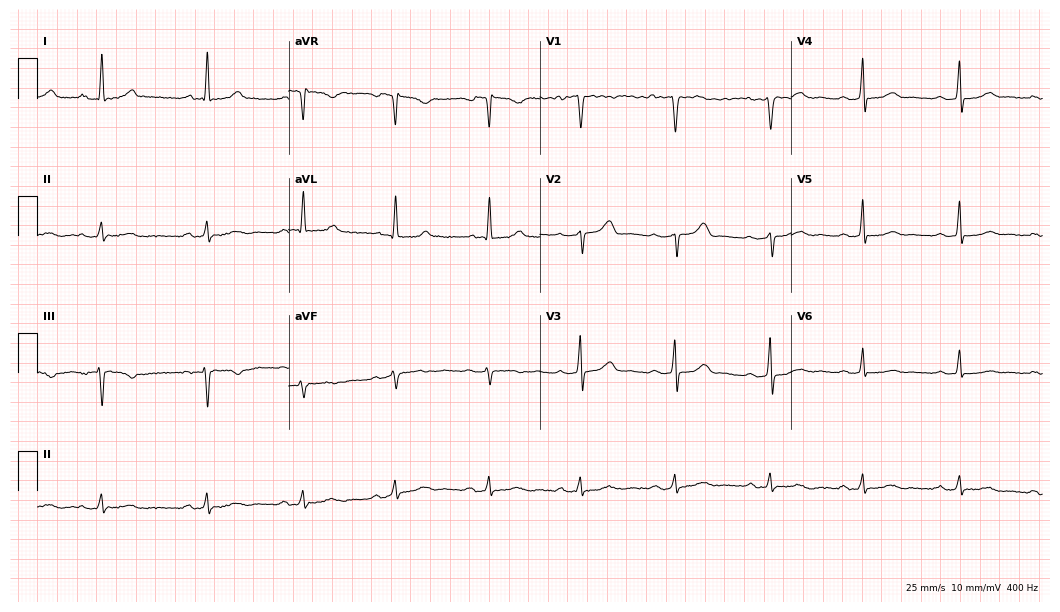
Standard 12-lead ECG recorded from a 50-year-old female patient. None of these six findings is recorded: first-degree AV block, right bundle branch block, left bundle branch block, sinus bradycardia, atrial fibrillation, sinus tachycardia.